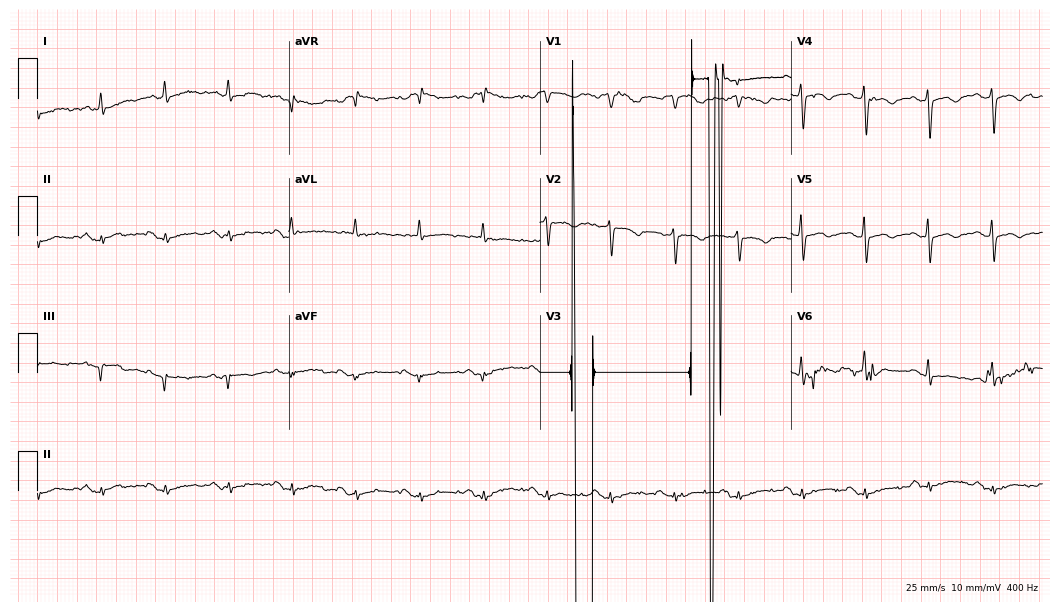
Electrocardiogram (10.2-second recording at 400 Hz), a 73-year-old woman. Of the six screened findings (first-degree AV block, right bundle branch block, left bundle branch block, sinus bradycardia, atrial fibrillation, sinus tachycardia), none is recorded. Only these six findings were labelled.